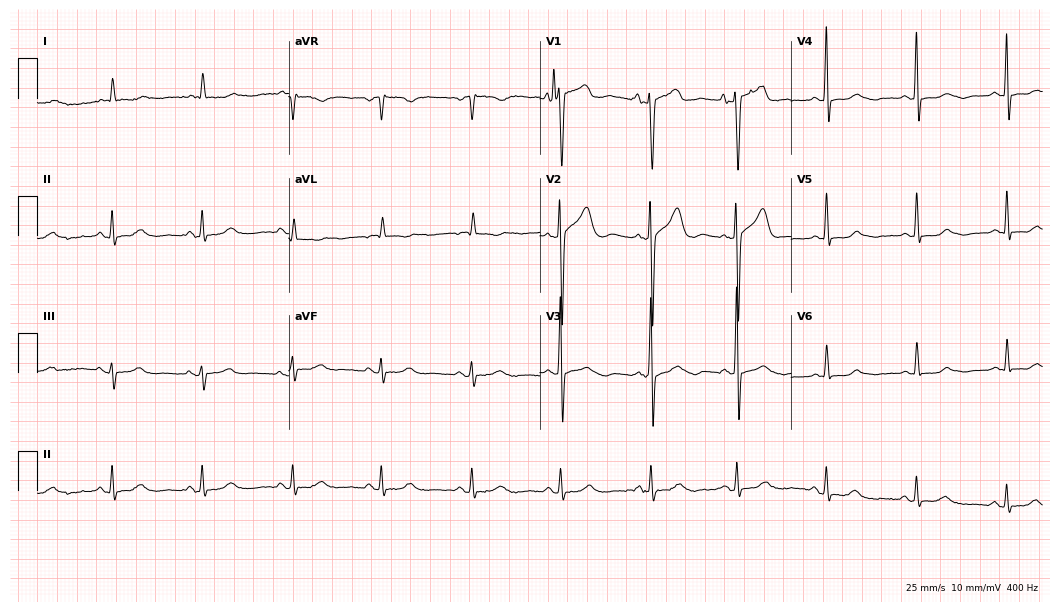
Electrocardiogram (10.2-second recording at 400 Hz), a woman, 83 years old. Of the six screened findings (first-degree AV block, right bundle branch block (RBBB), left bundle branch block (LBBB), sinus bradycardia, atrial fibrillation (AF), sinus tachycardia), none is recorded. Other findings, if any, are not listed.